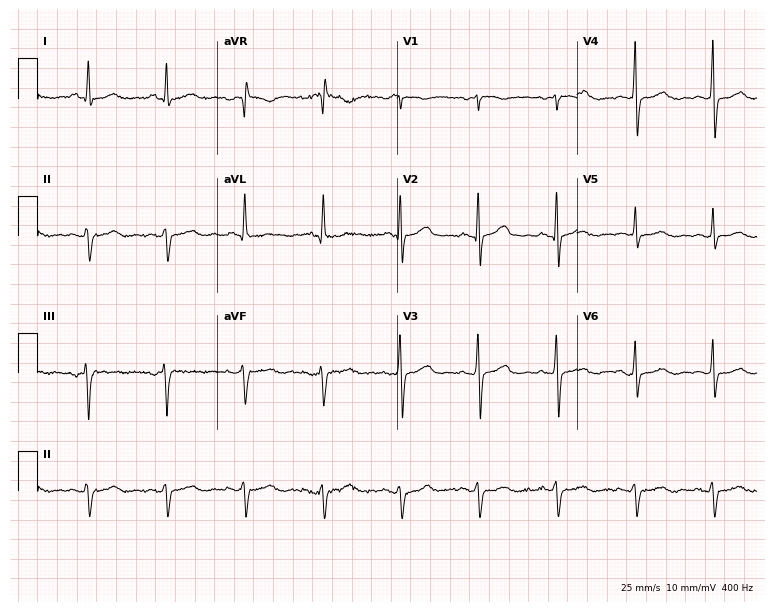
12-lead ECG from a female, 44 years old. No first-degree AV block, right bundle branch block, left bundle branch block, sinus bradycardia, atrial fibrillation or sinus tachycardia recorded for this tracing. Only these six findings were labelled.